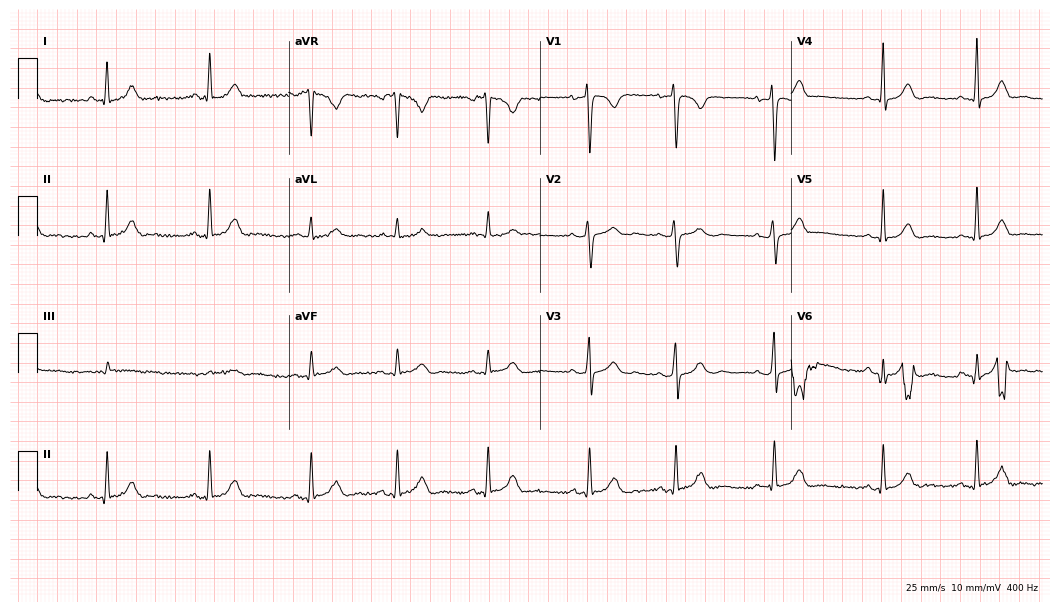
12-lead ECG from a female patient, 37 years old. Recorded interpretation: within normal limits.